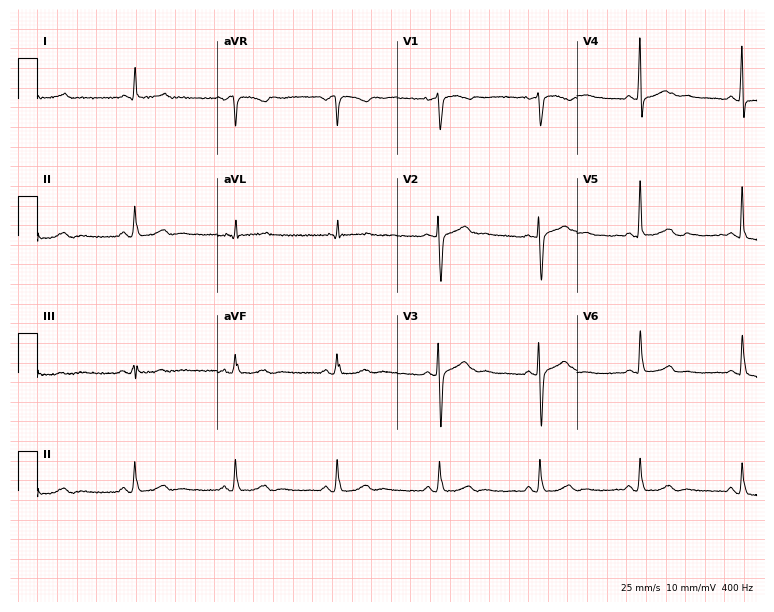
Resting 12-lead electrocardiogram. Patient: a 38-year-old woman. None of these six findings is recorded: first-degree AV block, right bundle branch block, left bundle branch block, sinus bradycardia, atrial fibrillation, sinus tachycardia. Other findings, if any, are not listed.